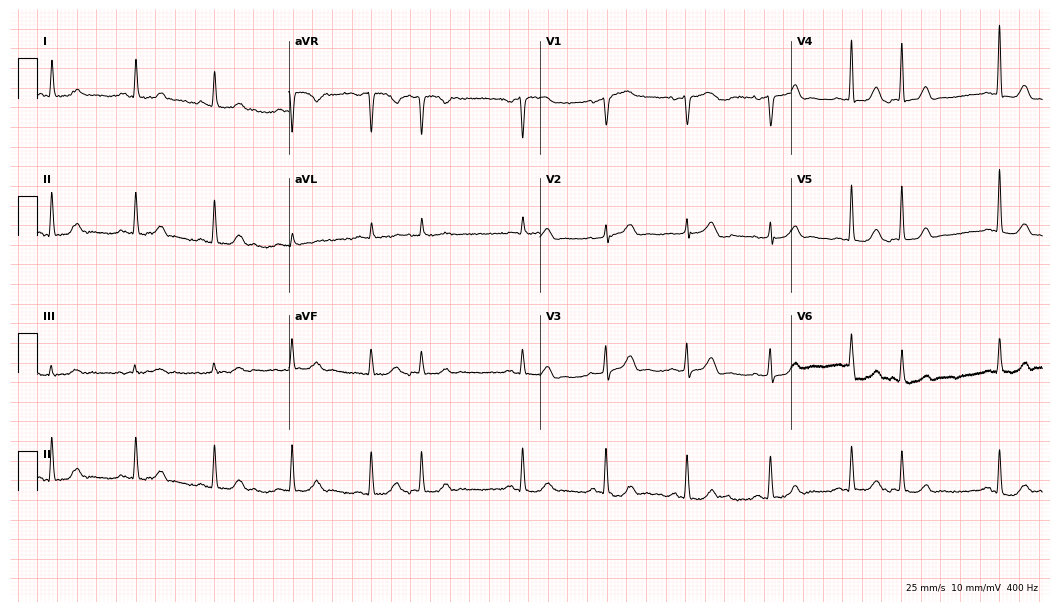
Resting 12-lead electrocardiogram. Patient: a woman, 66 years old. Read as a normal ECG.